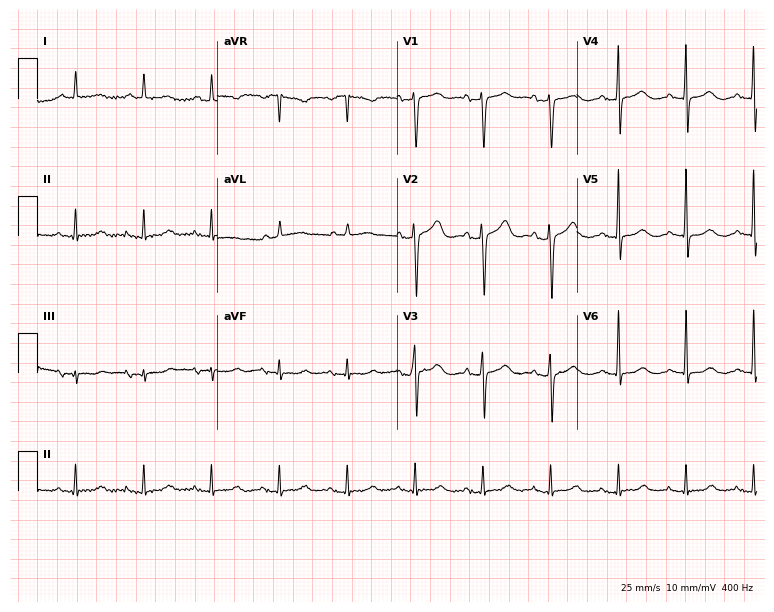
12-lead ECG from a woman, 77 years old (7.3-second recording at 400 Hz). Recorded interpretation: within normal limits.